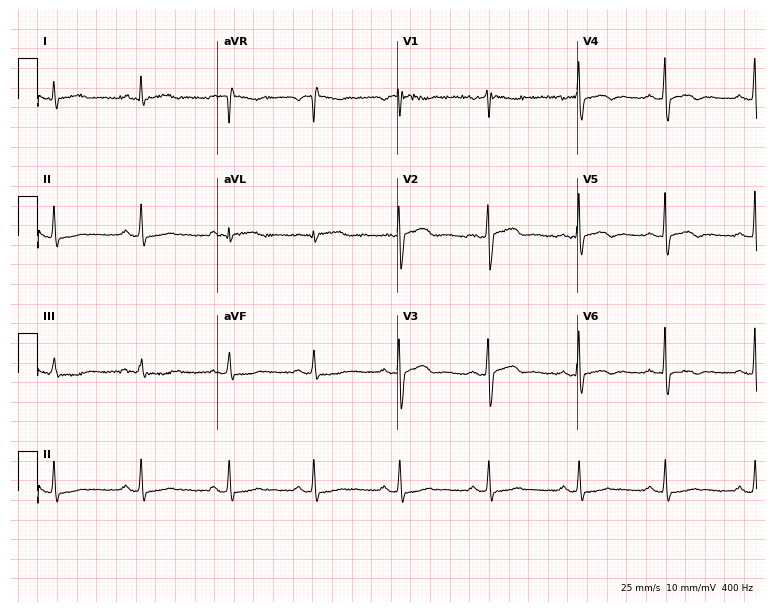
Electrocardiogram, a female, 35 years old. Of the six screened findings (first-degree AV block, right bundle branch block, left bundle branch block, sinus bradycardia, atrial fibrillation, sinus tachycardia), none is recorded.